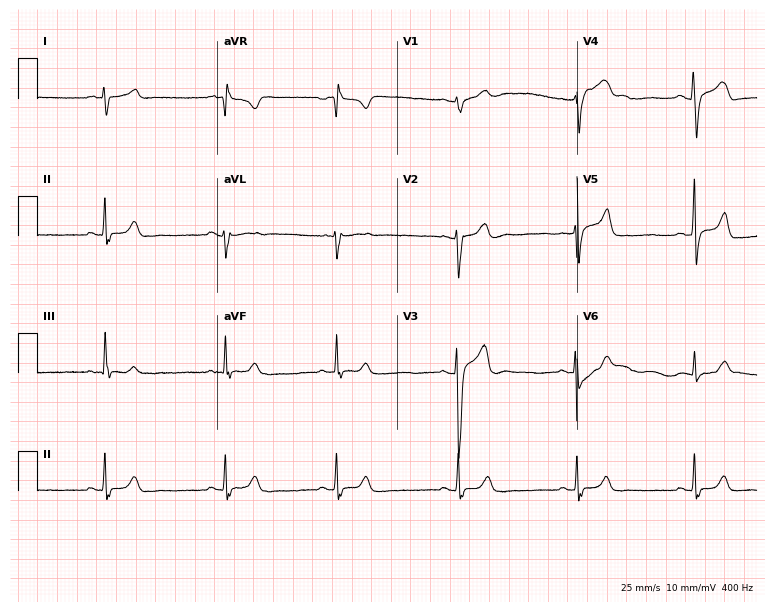
Standard 12-lead ECG recorded from a 21-year-old male (7.3-second recording at 400 Hz). None of these six findings is recorded: first-degree AV block, right bundle branch block, left bundle branch block, sinus bradycardia, atrial fibrillation, sinus tachycardia. Other findings, if any, are not listed.